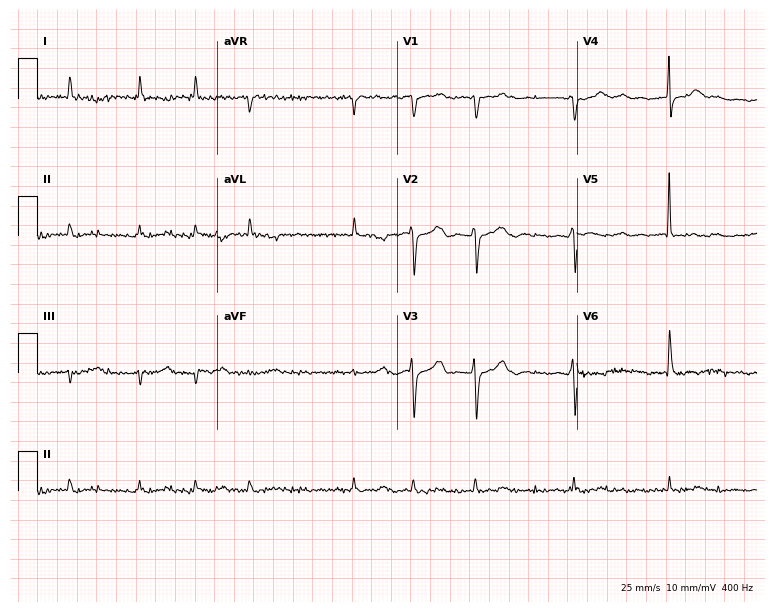
12-lead ECG from a female, 81 years old. Shows atrial fibrillation.